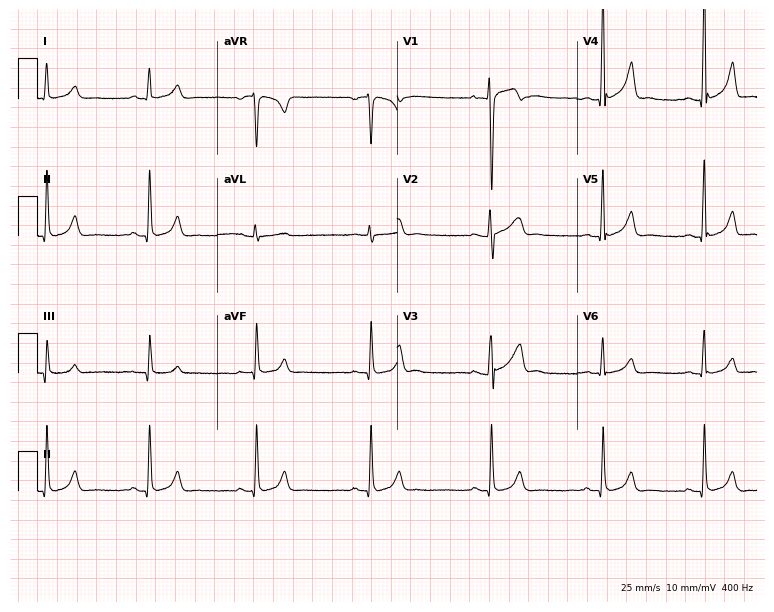
ECG — an 18-year-old man. Screened for six findings — first-degree AV block, right bundle branch block (RBBB), left bundle branch block (LBBB), sinus bradycardia, atrial fibrillation (AF), sinus tachycardia — none is recorded.